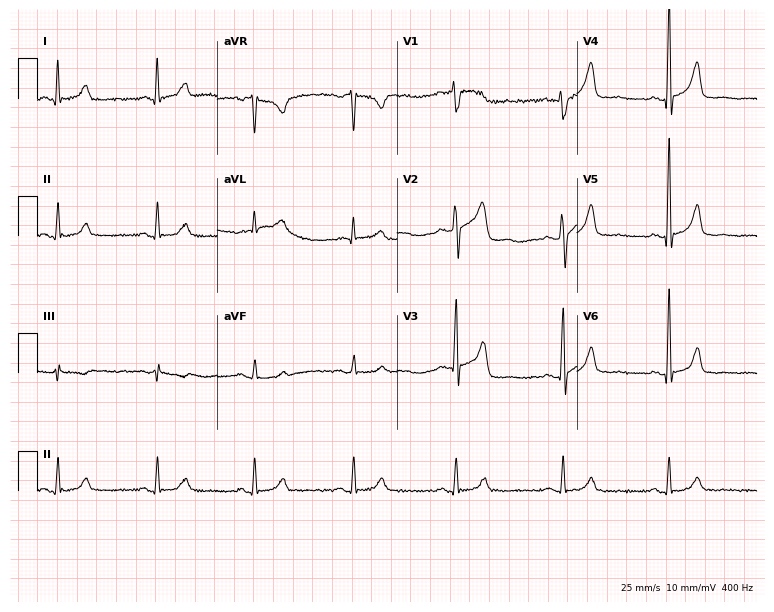
ECG (7.3-second recording at 400 Hz) — a 55-year-old male. Labelled as a normal ECG.